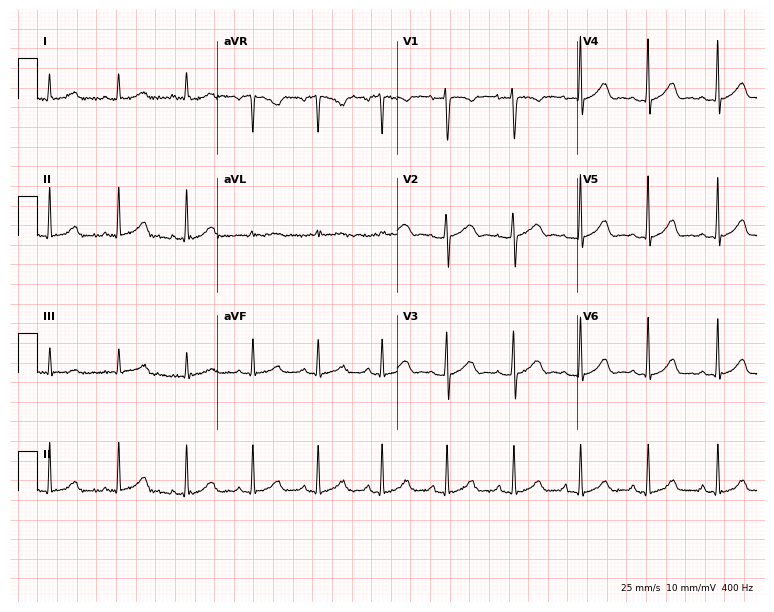
12-lead ECG (7.3-second recording at 400 Hz) from a 41-year-old woman. Screened for six findings — first-degree AV block, right bundle branch block, left bundle branch block, sinus bradycardia, atrial fibrillation, sinus tachycardia — none is recorded.